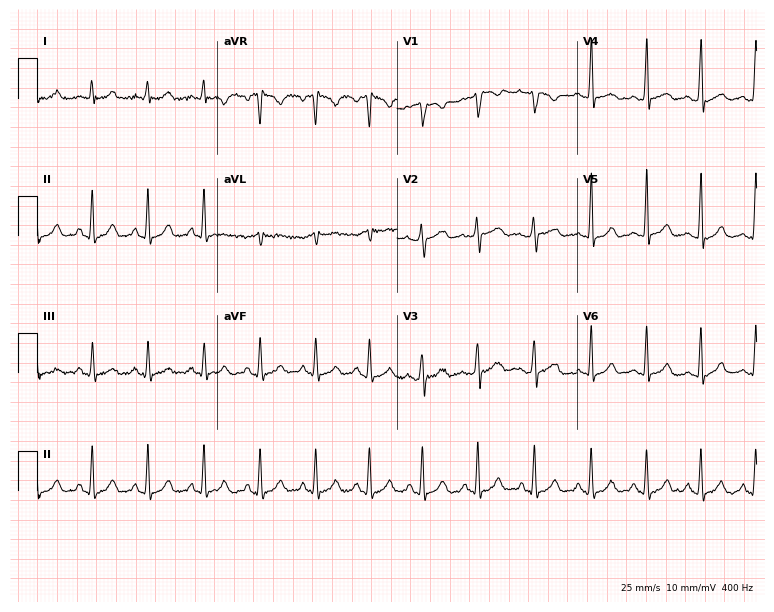
Resting 12-lead electrocardiogram (7.3-second recording at 400 Hz). Patient: a woman, 18 years old. The tracing shows sinus tachycardia (a sinus rate of 100 beats per minute or more).